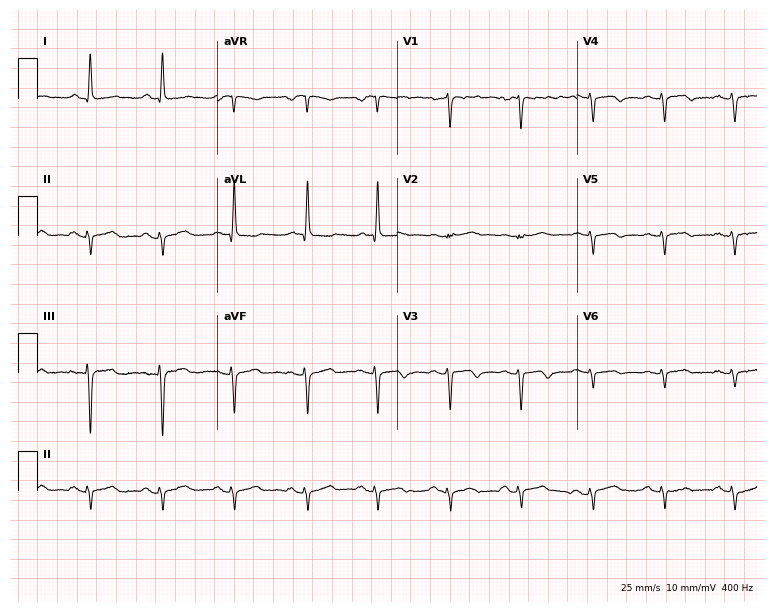
12-lead ECG from a woman, 61 years old. Screened for six findings — first-degree AV block, right bundle branch block, left bundle branch block, sinus bradycardia, atrial fibrillation, sinus tachycardia — none is recorded.